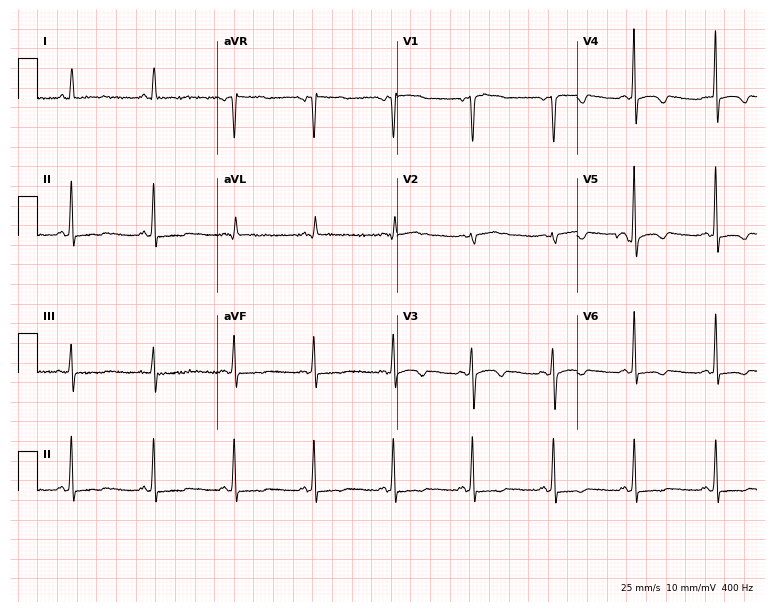
Standard 12-lead ECG recorded from a female patient, 63 years old (7.3-second recording at 400 Hz). None of these six findings is recorded: first-degree AV block, right bundle branch block (RBBB), left bundle branch block (LBBB), sinus bradycardia, atrial fibrillation (AF), sinus tachycardia.